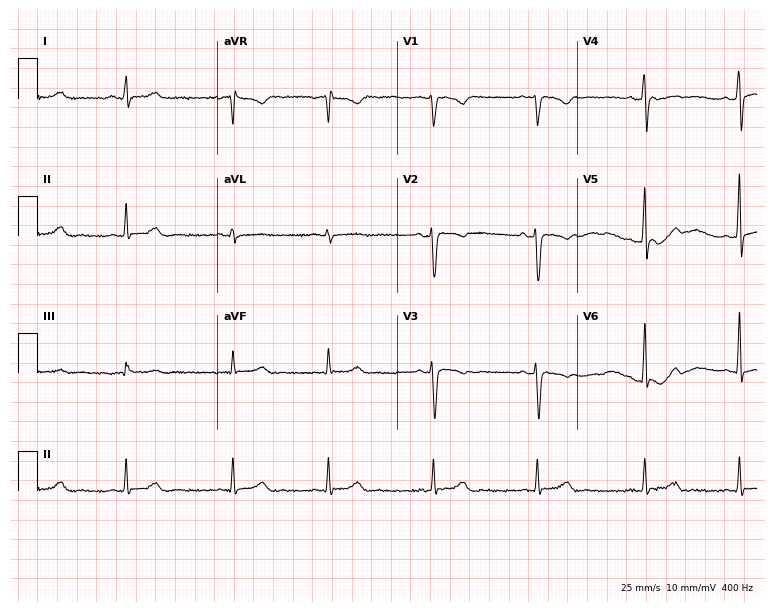
12-lead ECG from a female, 30 years old. Recorded interpretation: within normal limits.